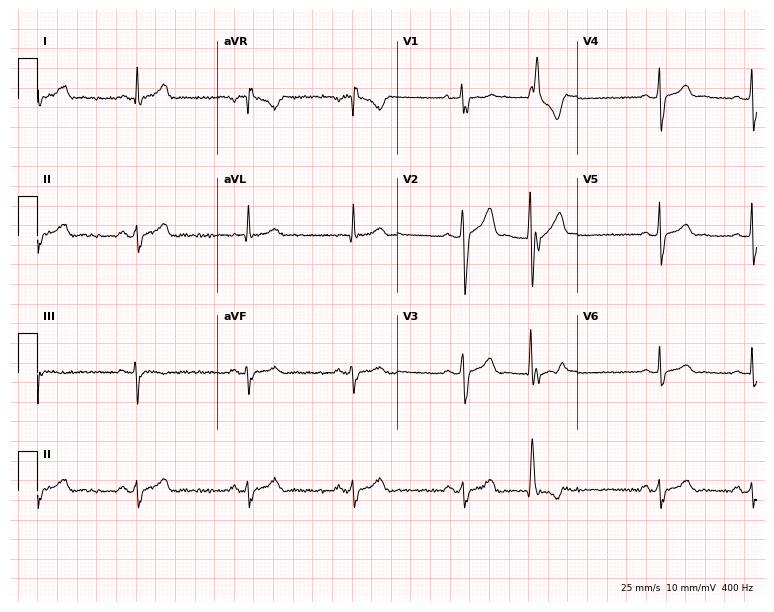
ECG — a man, 24 years old. Screened for six findings — first-degree AV block, right bundle branch block, left bundle branch block, sinus bradycardia, atrial fibrillation, sinus tachycardia — none is recorded. Other findings, if any, are not listed.